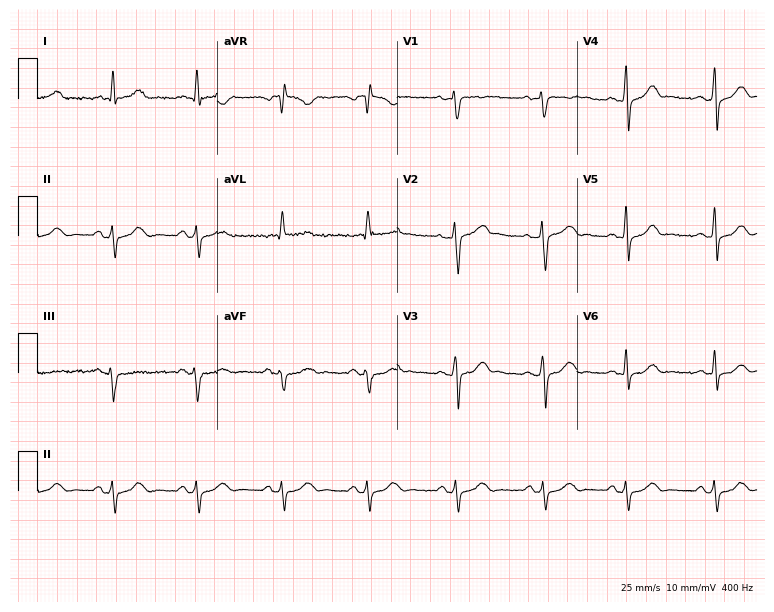
ECG — a 20-year-old man. Screened for six findings — first-degree AV block, right bundle branch block, left bundle branch block, sinus bradycardia, atrial fibrillation, sinus tachycardia — none is recorded.